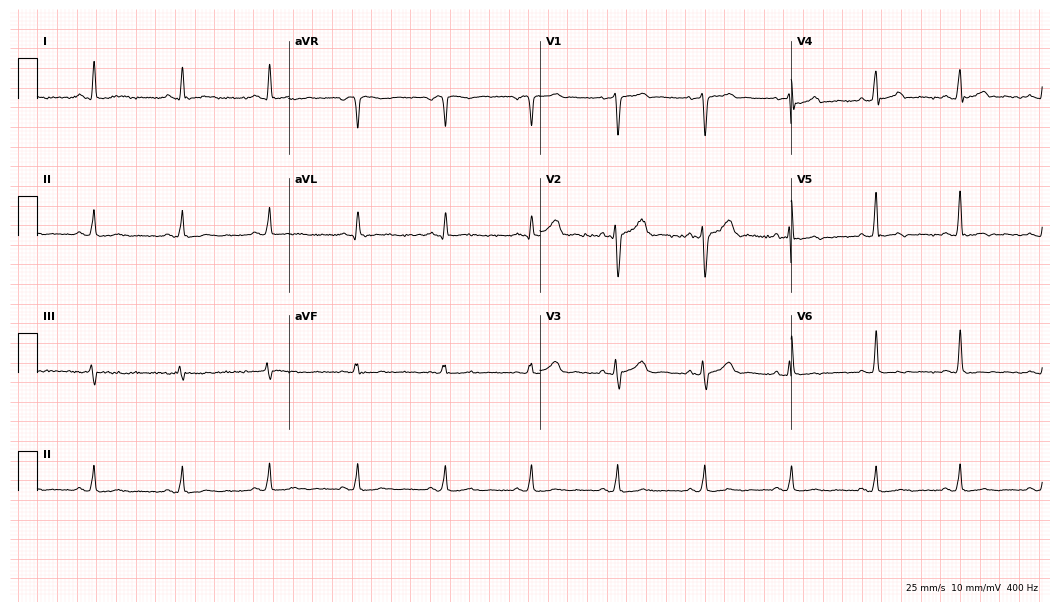
ECG (10.2-second recording at 400 Hz) — a 49-year-old male patient. Screened for six findings — first-degree AV block, right bundle branch block (RBBB), left bundle branch block (LBBB), sinus bradycardia, atrial fibrillation (AF), sinus tachycardia — none is recorded. Findings outside these six are not listed.